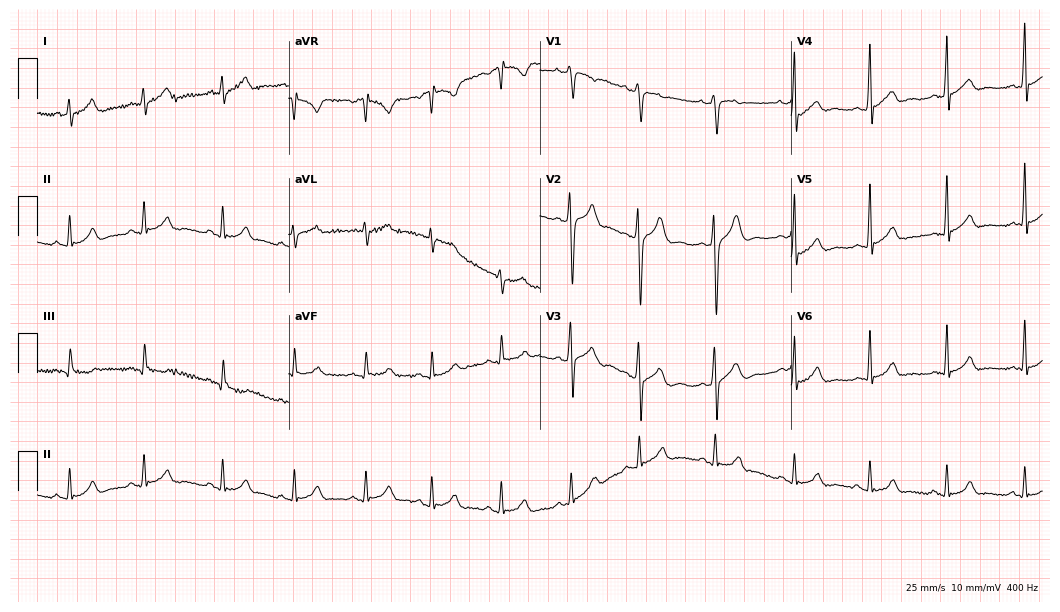
ECG (10.2-second recording at 400 Hz) — a 22-year-old man. Labelled as a normal ECG.